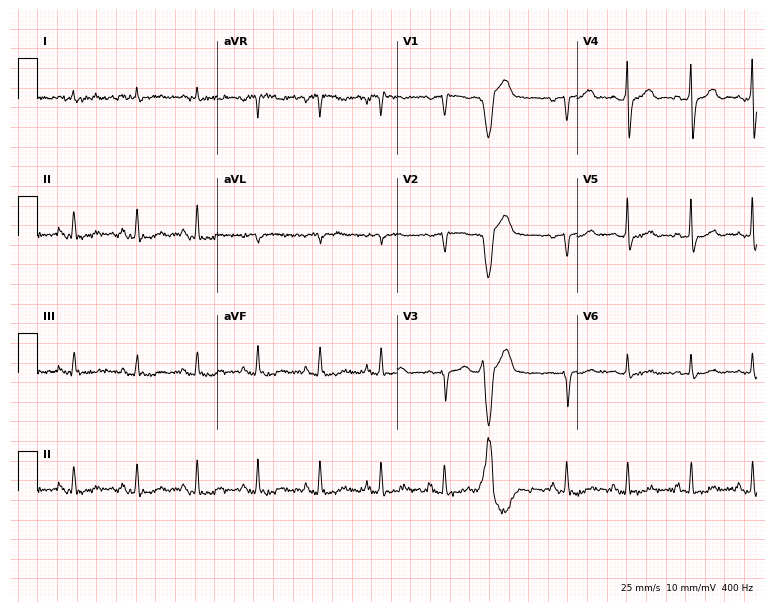
Electrocardiogram, a 64-year-old male patient. Of the six screened findings (first-degree AV block, right bundle branch block (RBBB), left bundle branch block (LBBB), sinus bradycardia, atrial fibrillation (AF), sinus tachycardia), none is recorded.